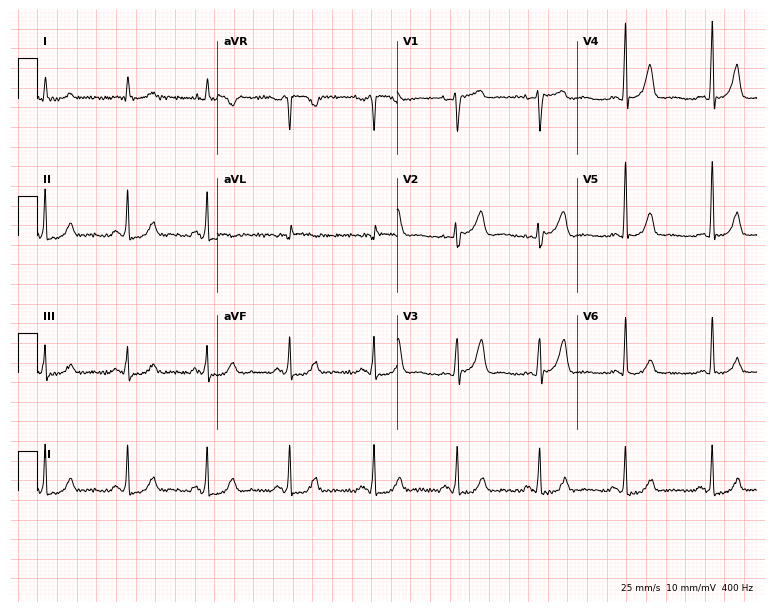
Resting 12-lead electrocardiogram. Patient: a 71-year-old man. Read as a normal ECG.